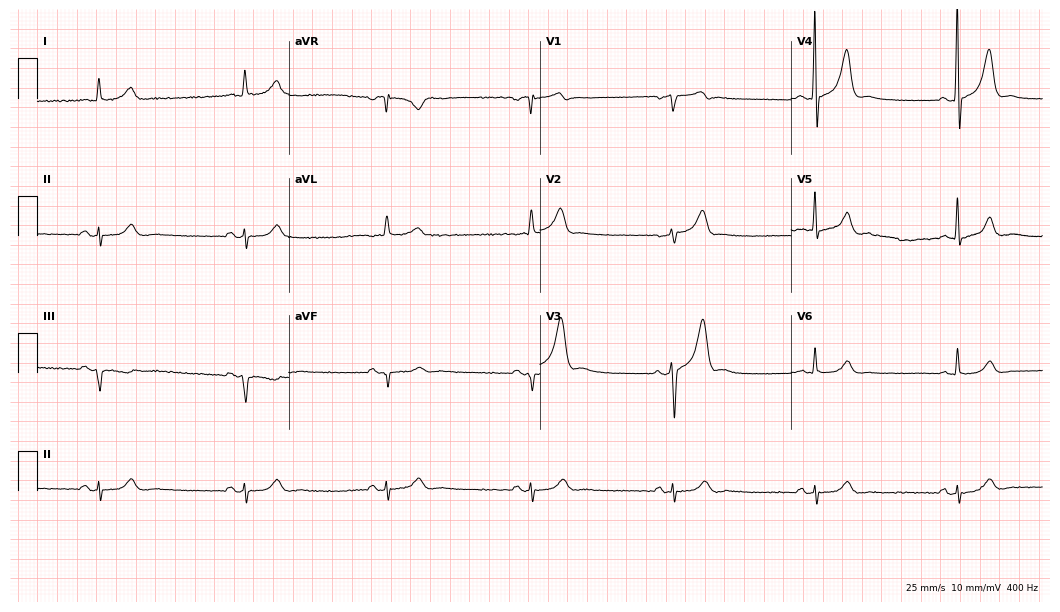
12-lead ECG (10.2-second recording at 400 Hz) from a 66-year-old male patient. Screened for six findings — first-degree AV block, right bundle branch block, left bundle branch block, sinus bradycardia, atrial fibrillation, sinus tachycardia — none is recorded. Other findings, if any, are not listed.